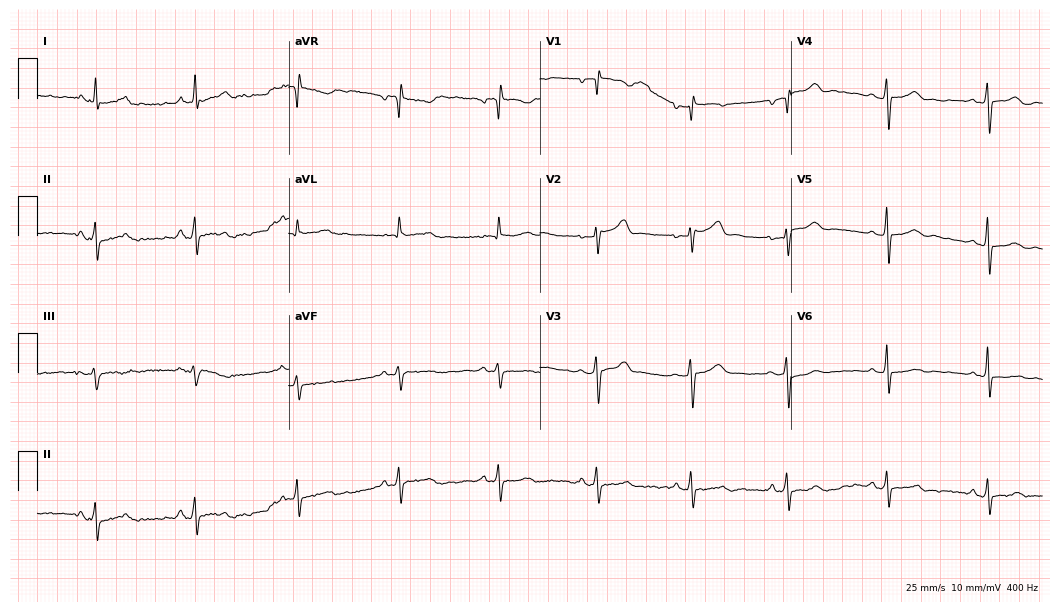
12-lead ECG from a man, 65 years old. Recorded interpretation: within normal limits.